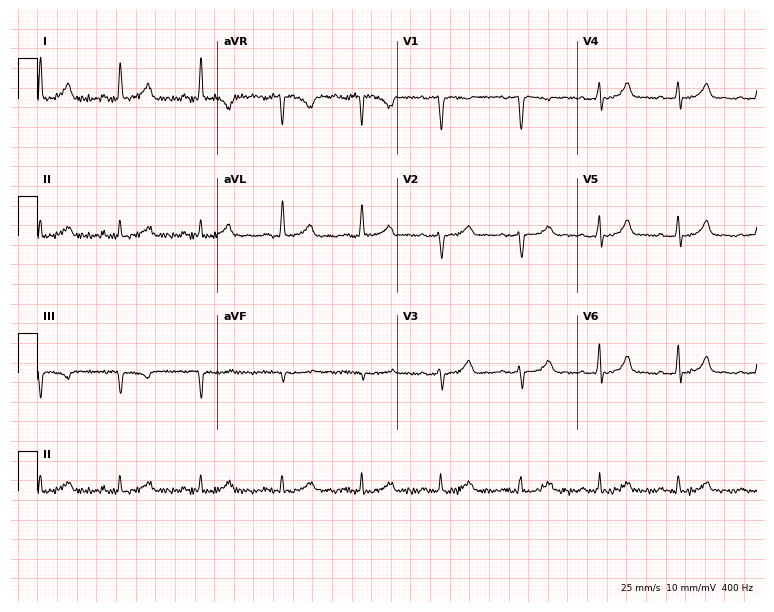
Resting 12-lead electrocardiogram. Patient: a woman, 58 years old. Read as a normal ECG.